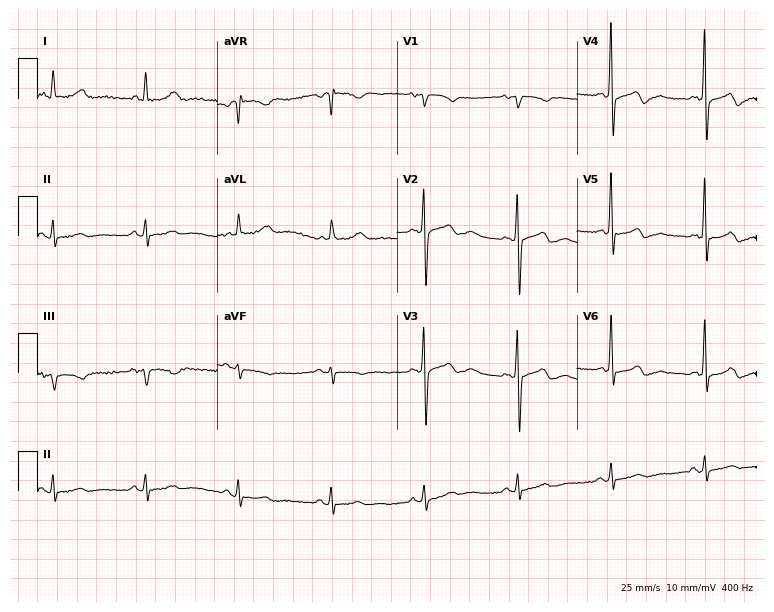
ECG (7.3-second recording at 400 Hz) — a female patient, 84 years old. Screened for six findings — first-degree AV block, right bundle branch block, left bundle branch block, sinus bradycardia, atrial fibrillation, sinus tachycardia — none is recorded.